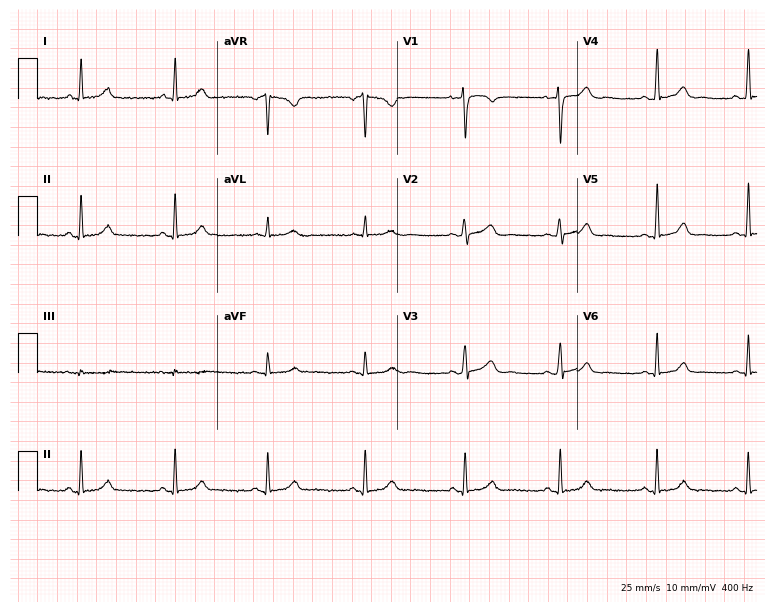
ECG — a female, 30 years old. Labelled as a normal ECG.